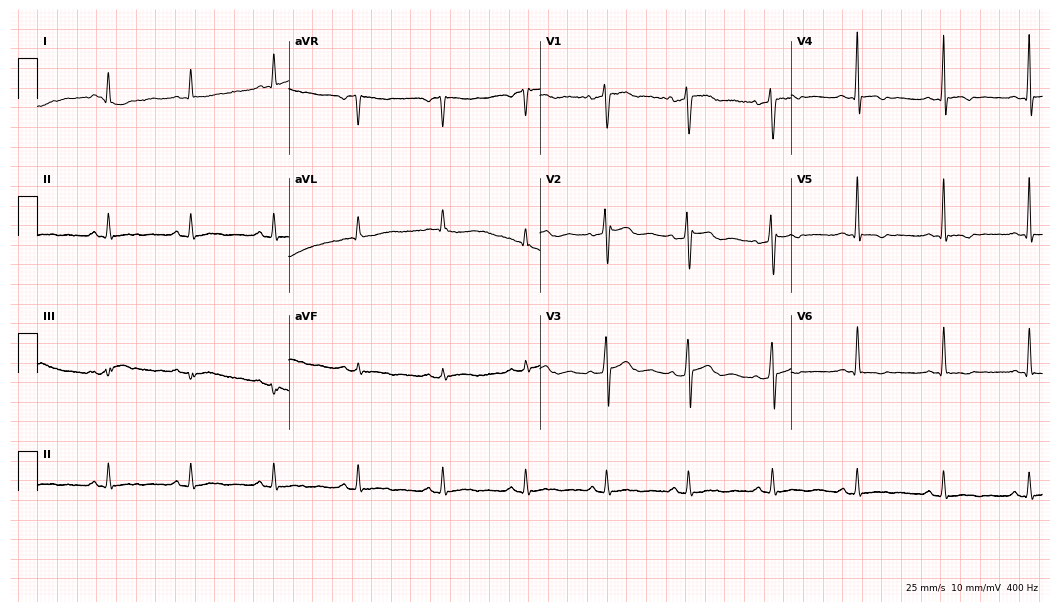
Resting 12-lead electrocardiogram. Patient: a 48-year-old woman. None of these six findings is recorded: first-degree AV block, right bundle branch block, left bundle branch block, sinus bradycardia, atrial fibrillation, sinus tachycardia. Other findings, if any, are not listed.